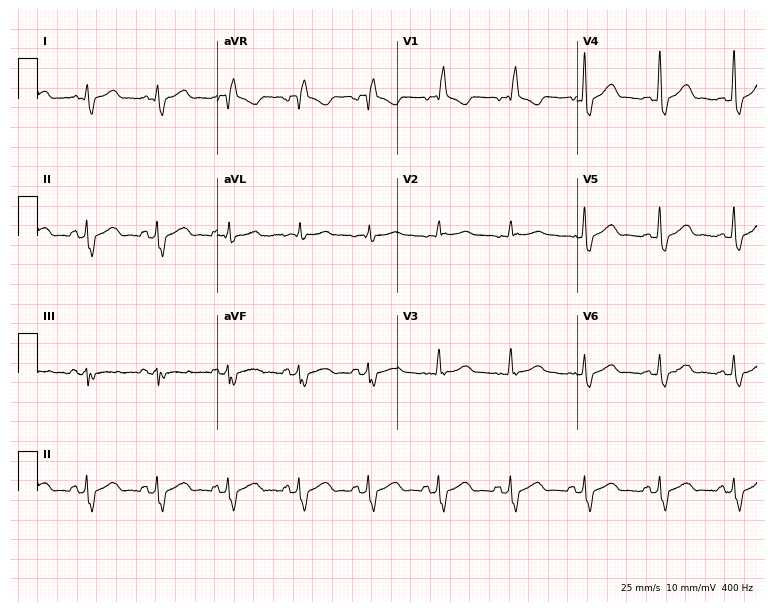
12-lead ECG (7.3-second recording at 400 Hz) from a female patient, 54 years old. Findings include right bundle branch block.